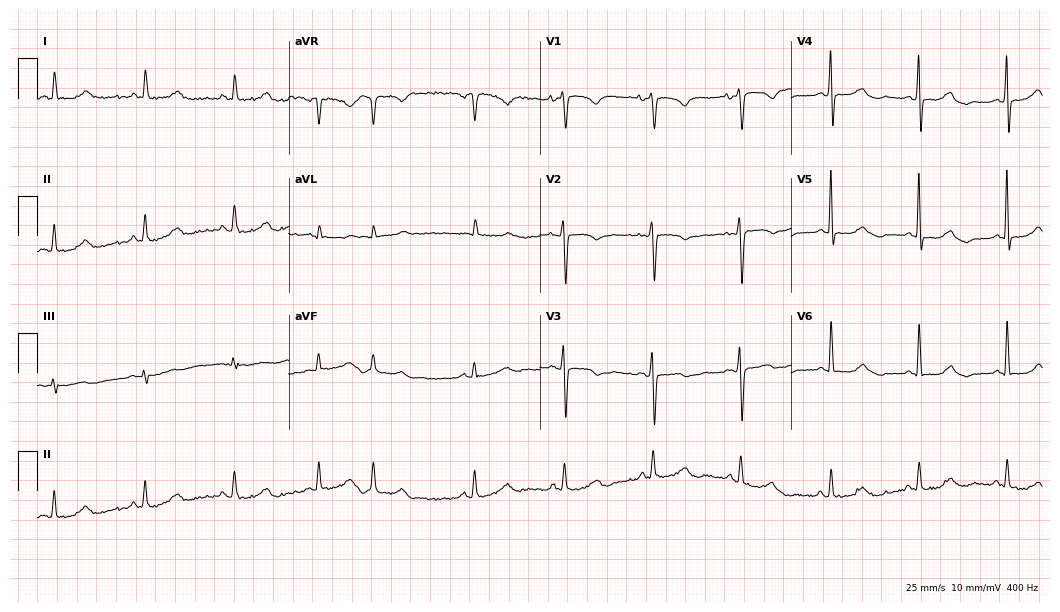
Standard 12-lead ECG recorded from a 71-year-old female patient (10.2-second recording at 400 Hz). None of these six findings is recorded: first-degree AV block, right bundle branch block (RBBB), left bundle branch block (LBBB), sinus bradycardia, atrial fibrillation (AF), sinus tachycardia. Findings outside these six are not listed.